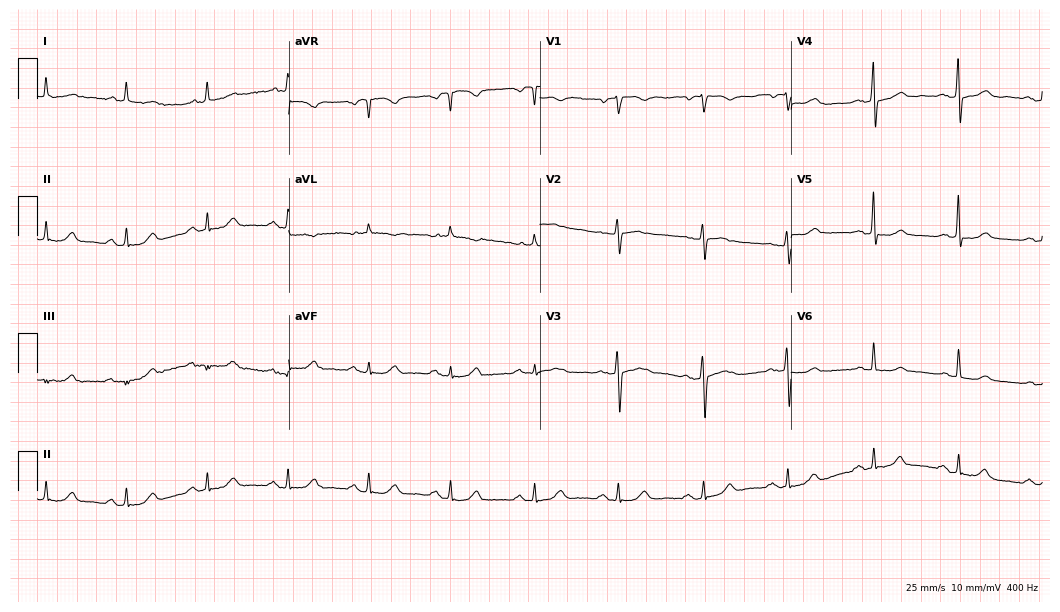
Electrocardiogram (10.2-second recording at 400 Hz), a male, 55 years old. Of the six screened findings (first-degree AV block, right bundle branch block, left bundle branch block, sinus bradycardia, atrial fibrillation, sinus tachycardia), none is recorded. Only these six findings were labelled.